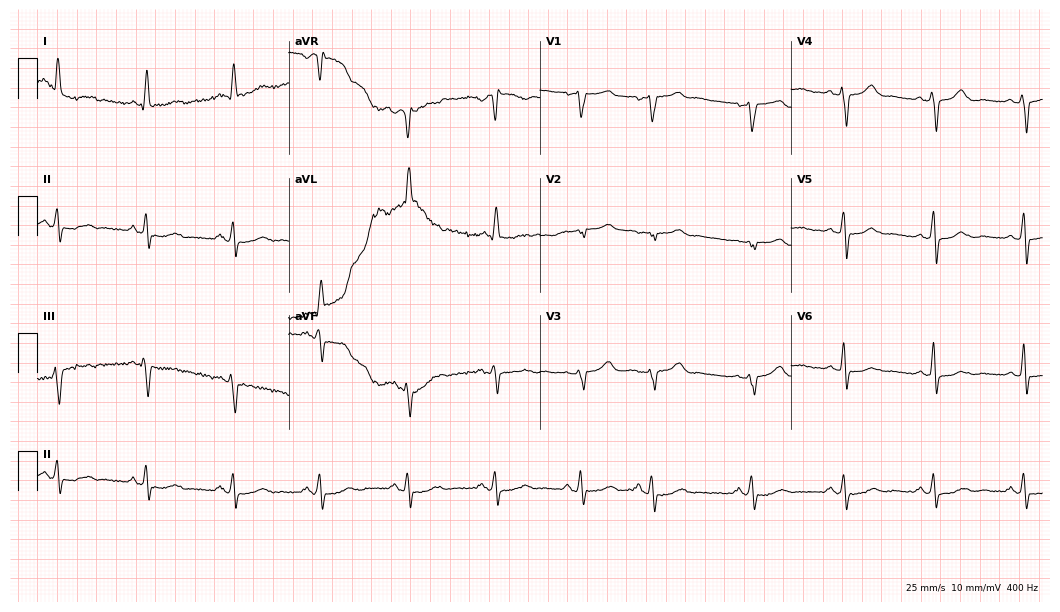
Electrocardiogram, a female patient, 57 years old. Of the six screened findings (first-degree AV block, right bundle branch block (RBBB), left bundle branch block (LBBB), sinus bradycardia, atrial fibrillation (AF), sinus tachycardia), none is recorded. Findings outside these six are not listed.